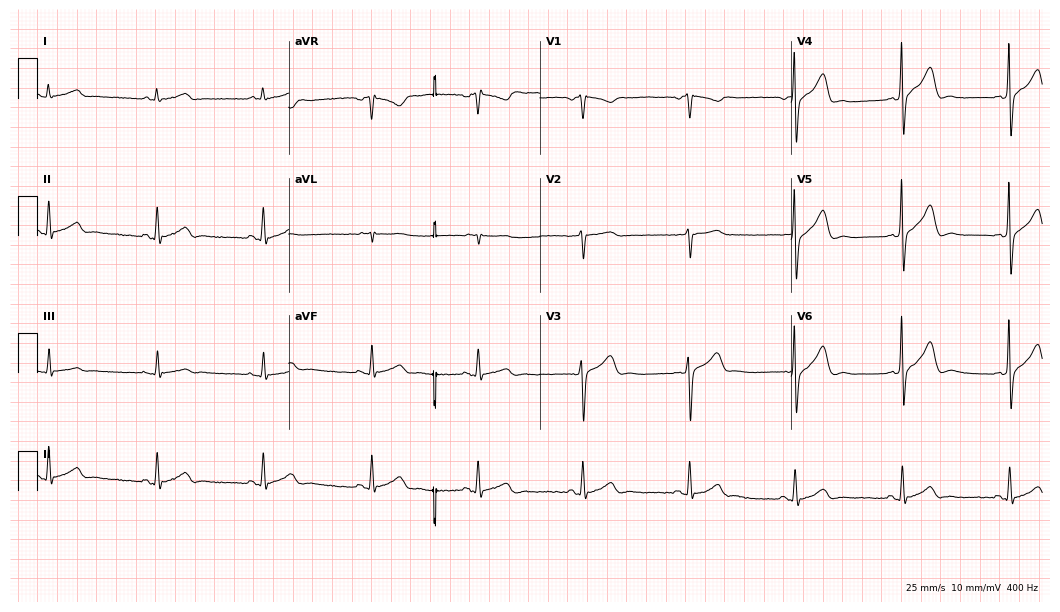
Standard 12-lead ECG recorded from a 57-year-old male (10.2-second recording at 400 Hz). Read as a normal ECG.